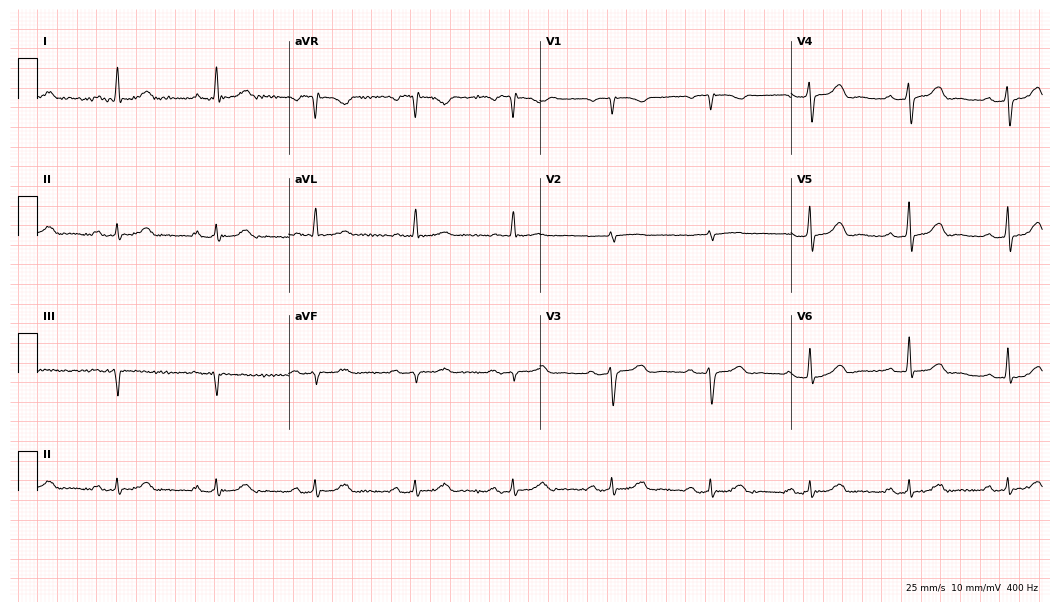
12-lead ECG from a female, 67 years old. Labelled as a normal ECG.